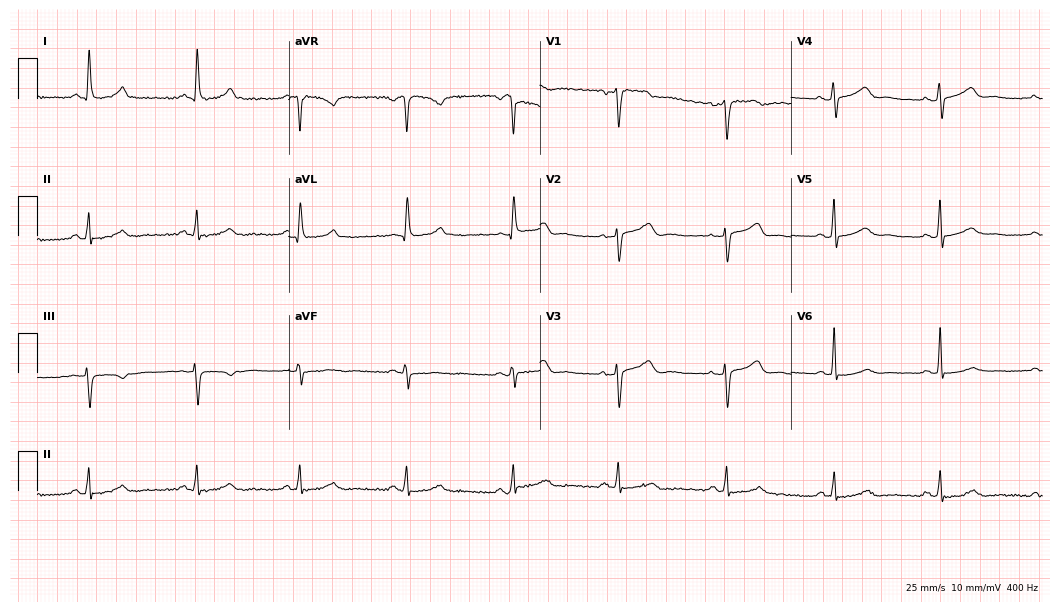
ECG (10.2-second recording at 400 Hz) — a female, 47 years old. Screened for six findings — first-degree AV block, right bundle branch block, left bundle branch block, sinus bradycardia, atrial fibrillation, sinus tachycardia — none is recorded.